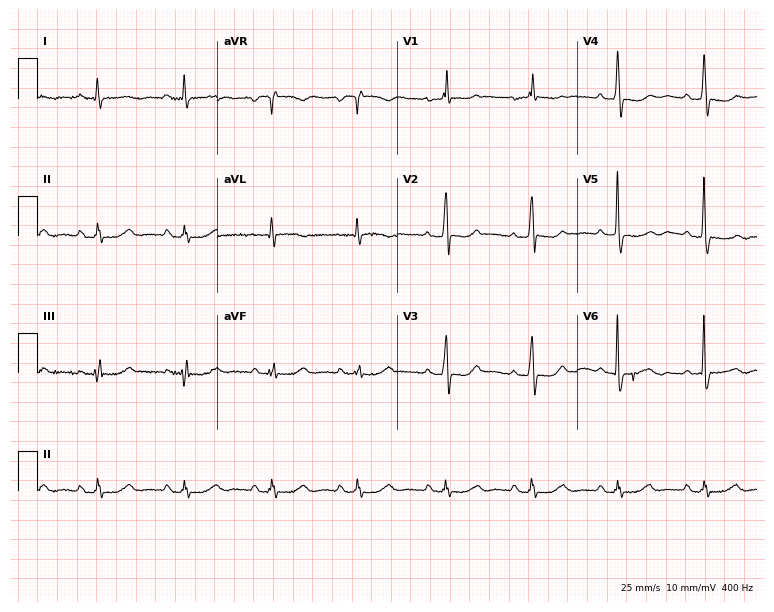
Electrocardiogram (7.3-second recording at 400 Hz), a 64-year-old woman. Of the six screened findings (first-degree AV block, right bundle branch block (RBBB), left bundle branch block (LBBB), sinus bradycardia, atrial fibrillation (AF), sinus tachycardia), none is recorded. Findings outside these six are not listed.